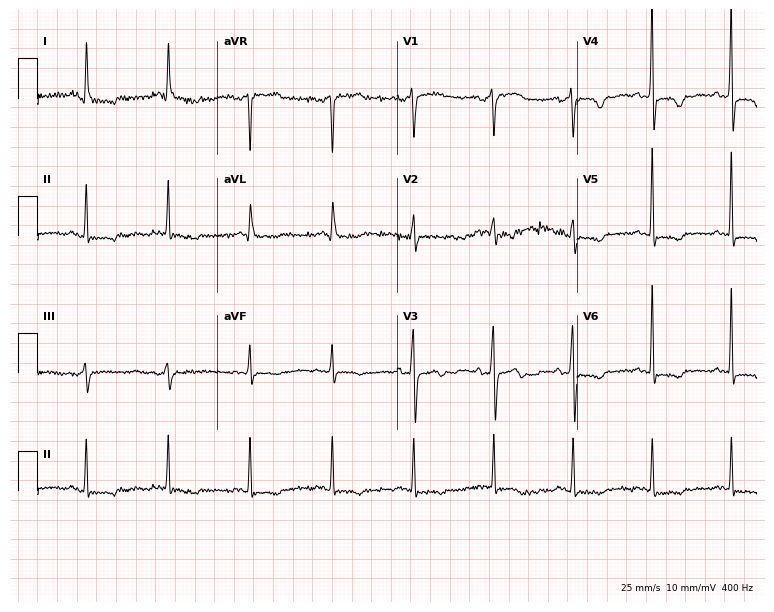
12-lead ECG (7.3-second recording at 400 Hz) from an 85-year-old woman. Screened for six findings — first-degree AV block, right bundle branch block, left bundle branch block, sinus bradycardia, atrial fibrillation, sinus tachycardia — none is recorded.